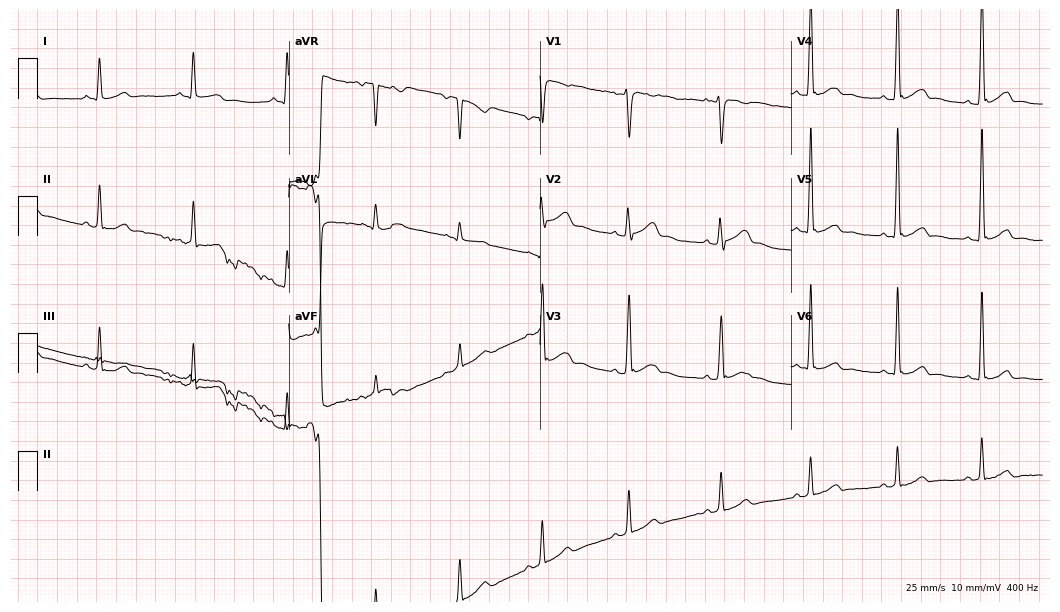
12-lead ECG (10.2-second recording at 400 Hz) from a 26-year-old male patient. Screened for six findings — first-degree AV block, right bundle branch block, left bundle branch block, sinus bradycardia, atrial fibrillation, sinus tachycardia — none is recorded. Other findings, if any, are not listed.